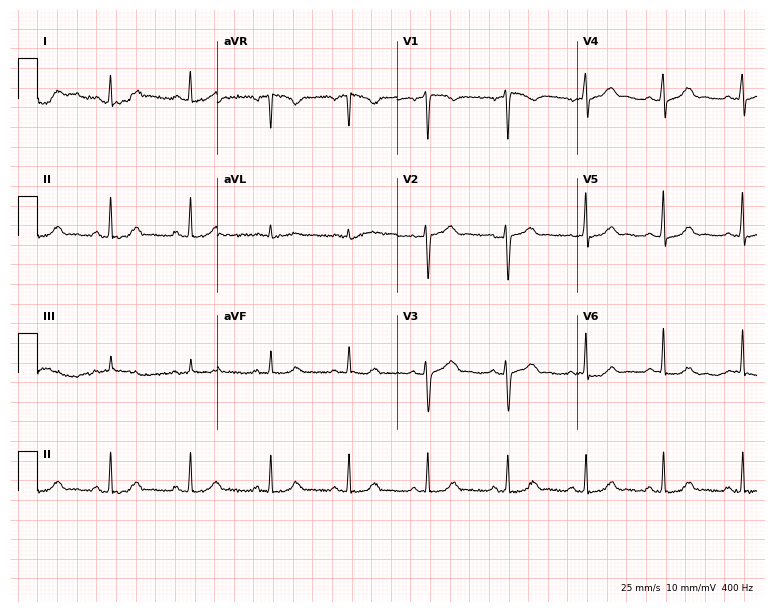
Resting 12-lead electrocardiogram (7.3-second recording at 400 Hz). Patient: a 52-year-old male. Read as a normal ECG.